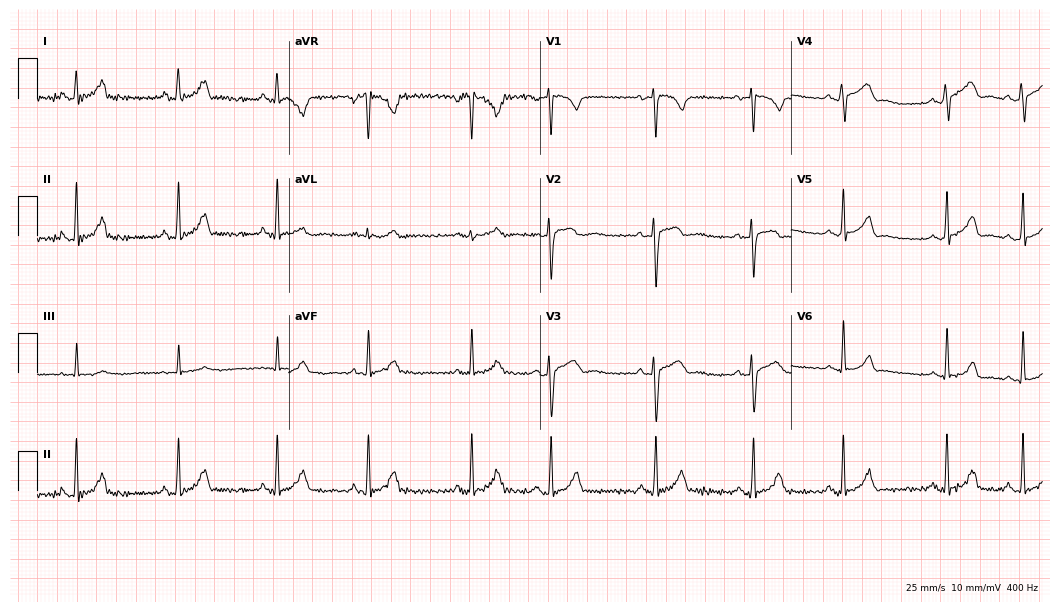
Electrocardiogram (10.2-second recording at 400 Hz), a 19-year-old female patient. Of the six screened findings (first-degree AV block, right bundle branch block (RBBB), left bundle branch block (LBBB), sinus bradycardia, atrial fibrillation (AF), sinus tachycardia), none is recorded. Other findings, if any, are not listed.